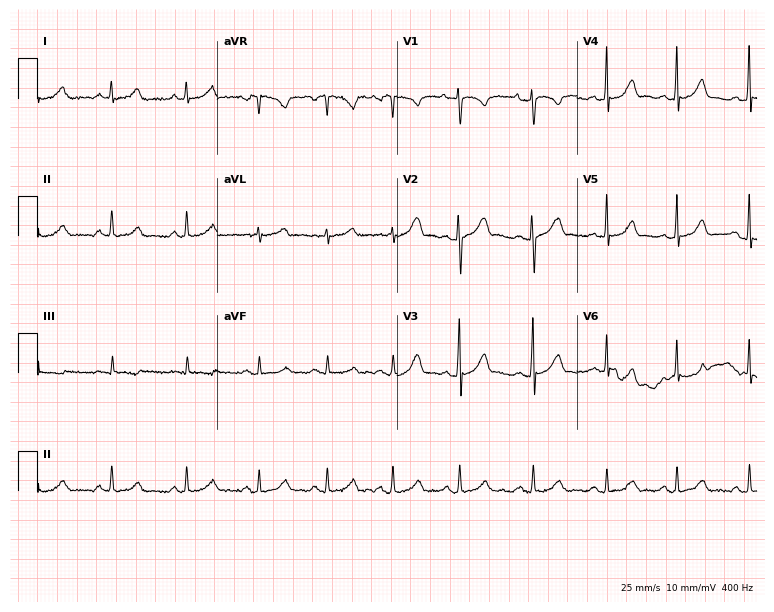
Electrocardiogram (7.3-second recording at 400 Hz), a female patient, 18 years old. Overall reading on record: normal ECG.